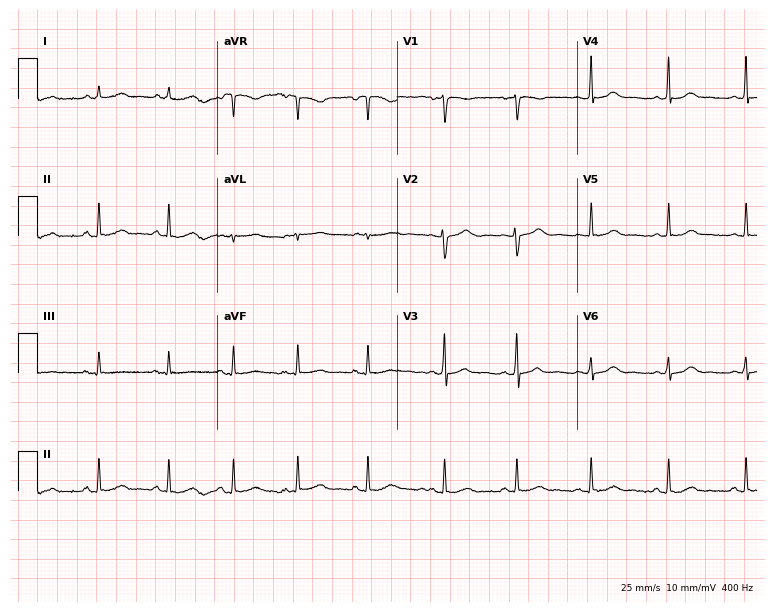
ECG — a woman, 20 years old. Screened for six findings — first-degree AV block, right bundle branch block (RBBB), left bundle branch block (LBBB), sinus bradycardia, atrial fibrillation (AF), sinus tachycardia — none is recorded. Other findings, if any, are not listed.